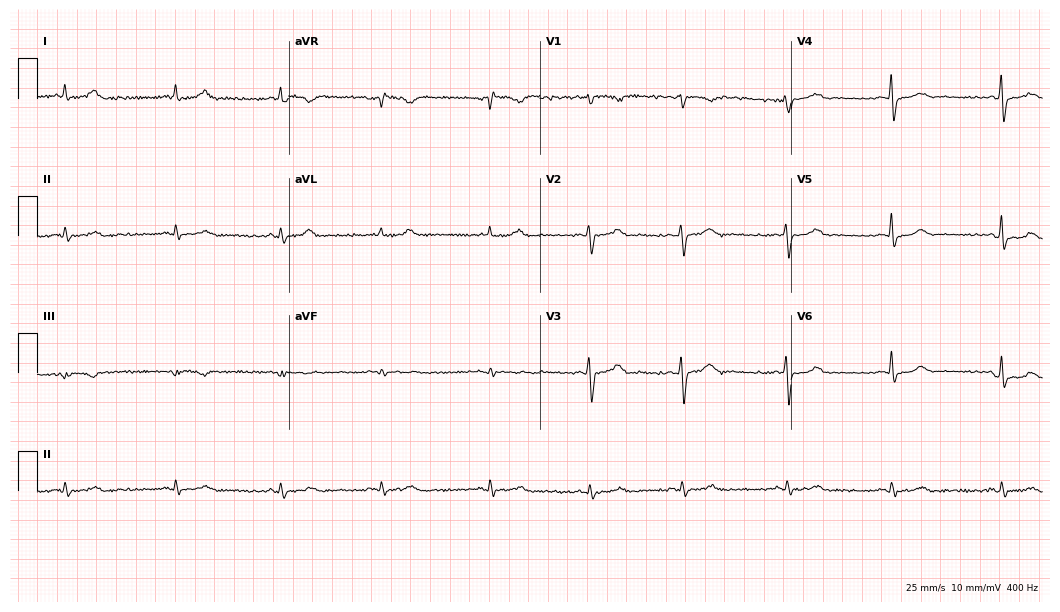
Standard 12-lead ECG recorded from a 39-year-old woman. None of these six findings is recorded: first-degree AV block, right bundle branch block (RBBB), left bundle branch block (LBBB), sinus bradycardia, atrial fibrillation (AF), sinus tachycardia. Other findings, if any, are not listed.